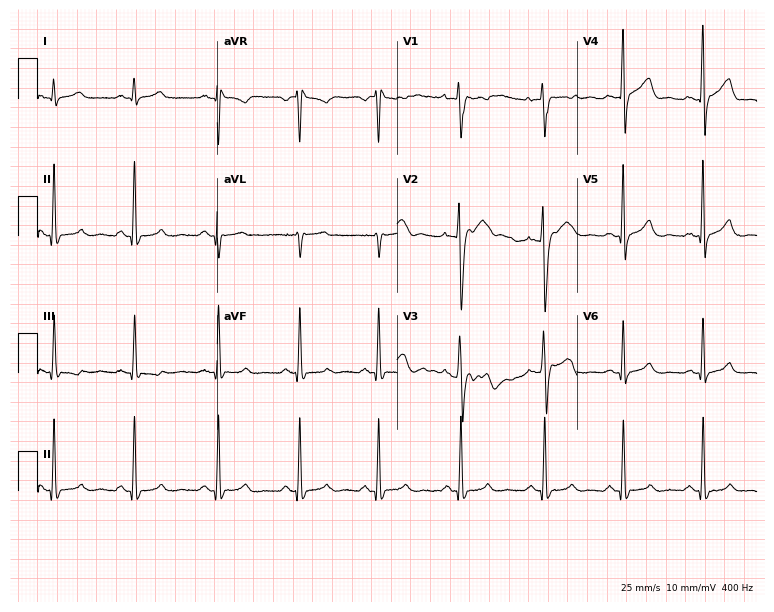
12-lead ECG from a male, 40 years old. Screened for six findings — first-degree AV block, right bundle branch block (RBBB), left bundle branch block (LBBB), sinus bradycardia, atrial fibrillation (AF), sinus tachycardia — none is recorded.